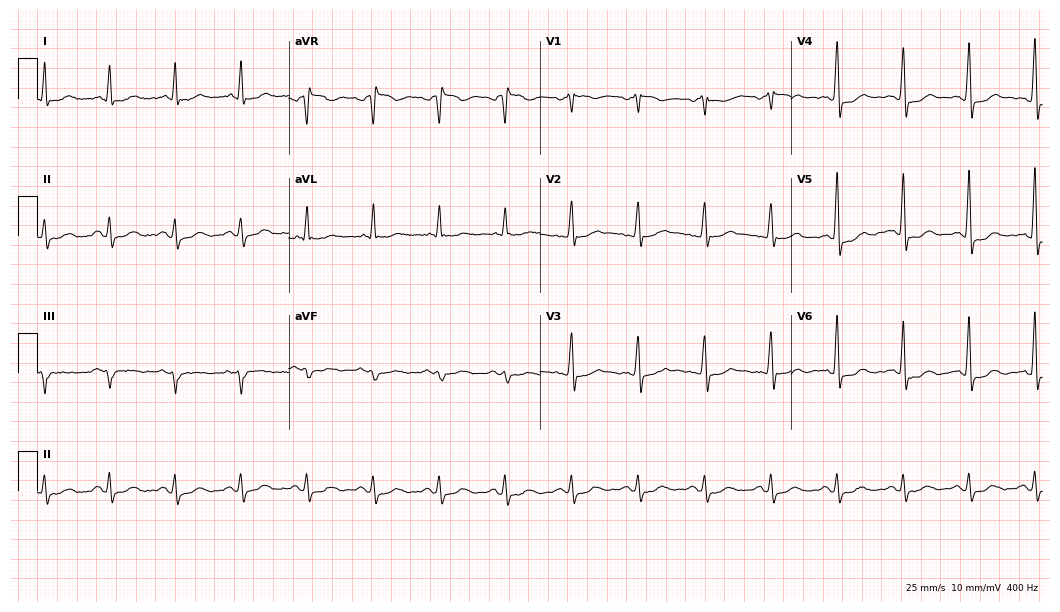
12-lead ECG (10.2-second recording at 400 Hz) from a 68-year-old male patient. Labelled as a normal ECG.